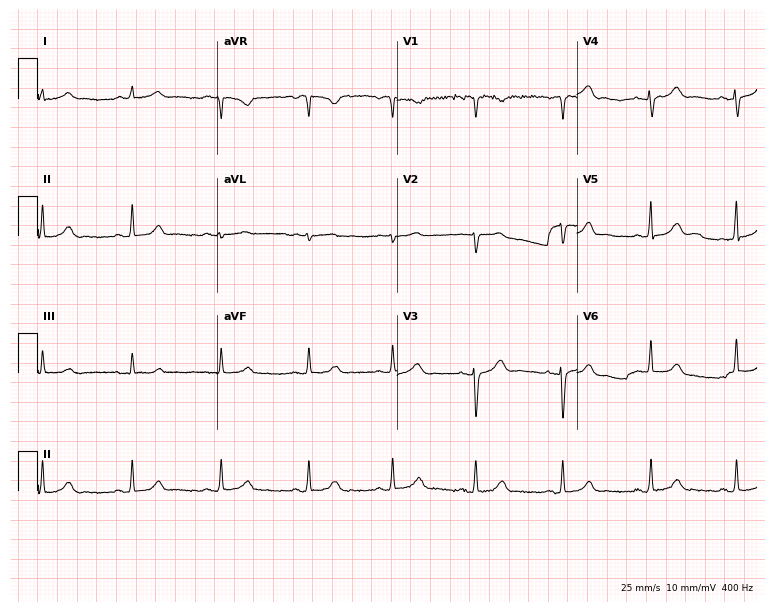
12-lead ECG from a 43-year-old female patient. Screened for six findings — first-degree AV block, right bundle branch block, left bundle branch block, sinus bradycardia, atrial fibrillation, sinus tachycardia — none is recorded. Other findings, if any, are not listed.